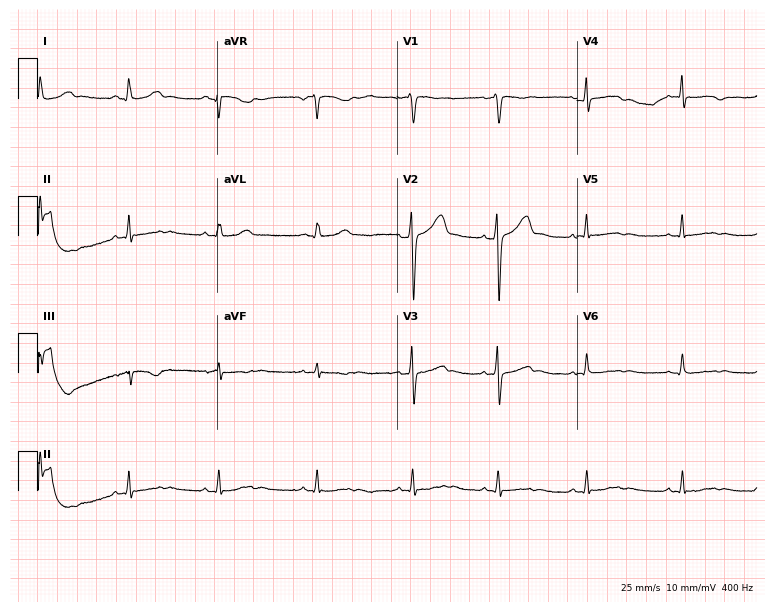
ECG — a 21-year-old female patient. Screened for six findings — first-degree AV block, right bundle branch block, left bundle branch block, sinus bradycardia, atrial fibrillation, sinus tachycardia — none is recorded. Other findings, if any, are not listed.